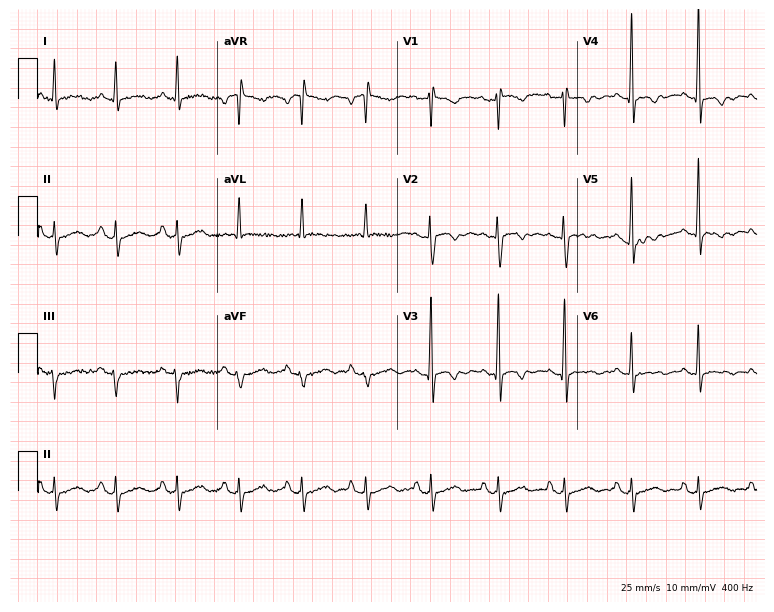
12-lead ECG from a male patient, 55 years old (7.3-second recording at 400 Hz). Recorded interpretation: within normal limits.